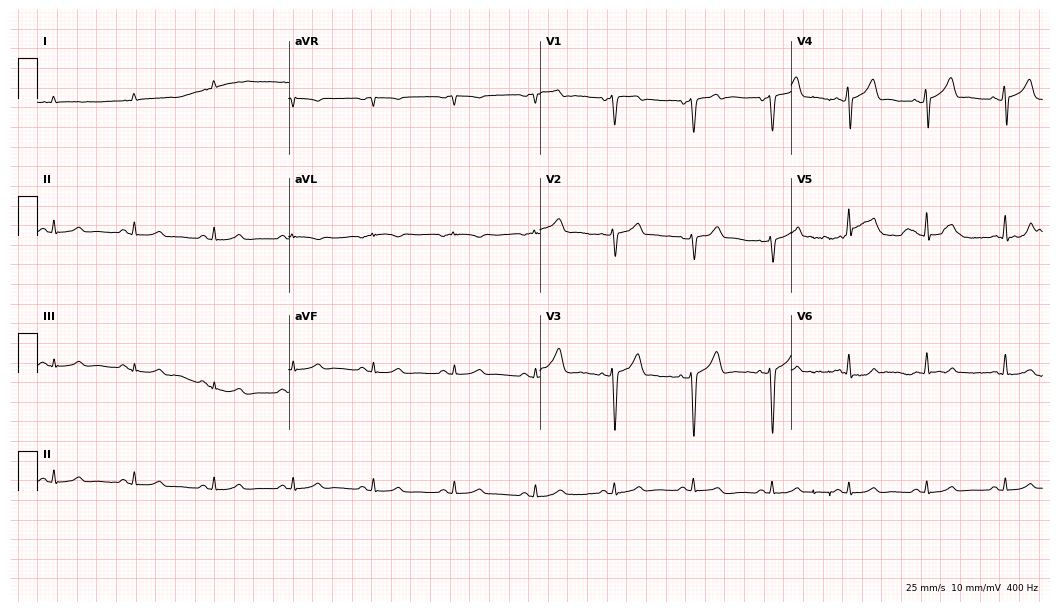
ECG — a 51-year-old male patient. Screened for six findings — first-degree AV block, right bundle branch block (RBBB), left bundle branch block (LBBB), sinus bradycardia, atrial fibrillation (AF), sinus tachycardia — none is recorded. Other findings, if any, are not listed.